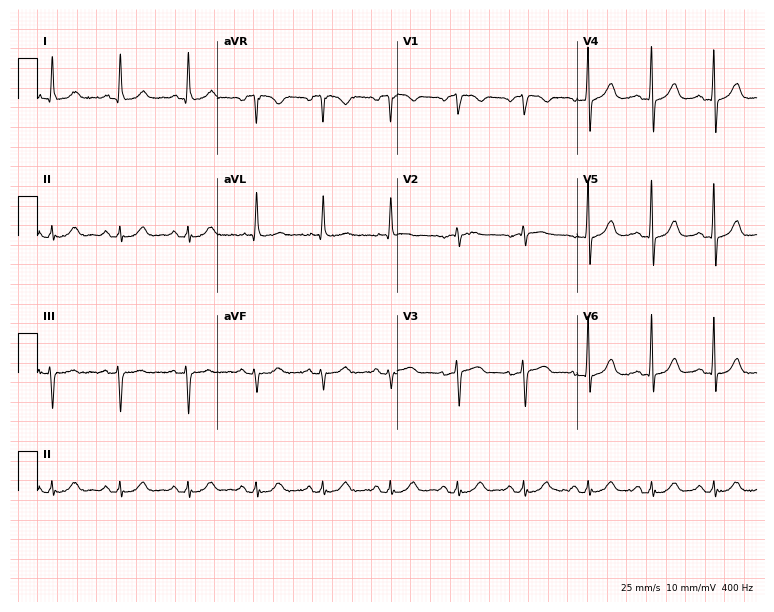
ECG — a male patient, 76 years old. Labelled as a normal ECG.